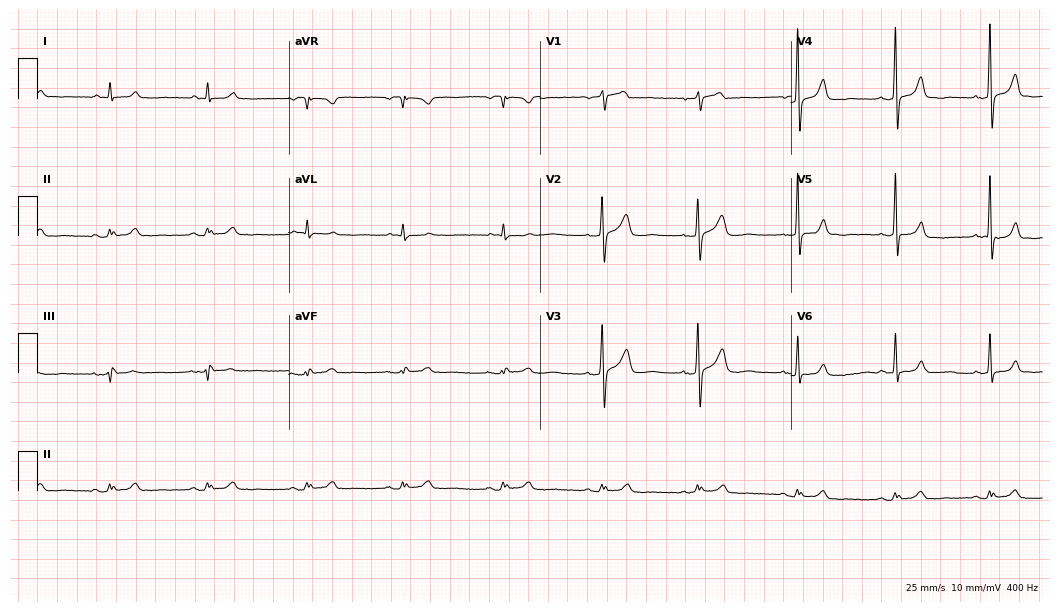
Standard 12-lead ECG recorded from a man, 74 years old. Read as a normal ECG.